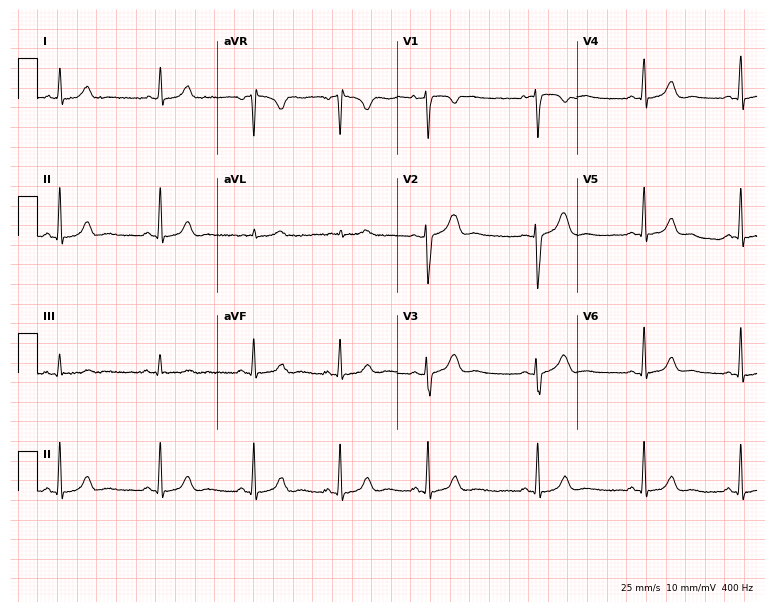
Standard 12-lead ECG recorded from a 30-year-old female (7.3-second recording at 400 Hz). Read as a normal ECG.